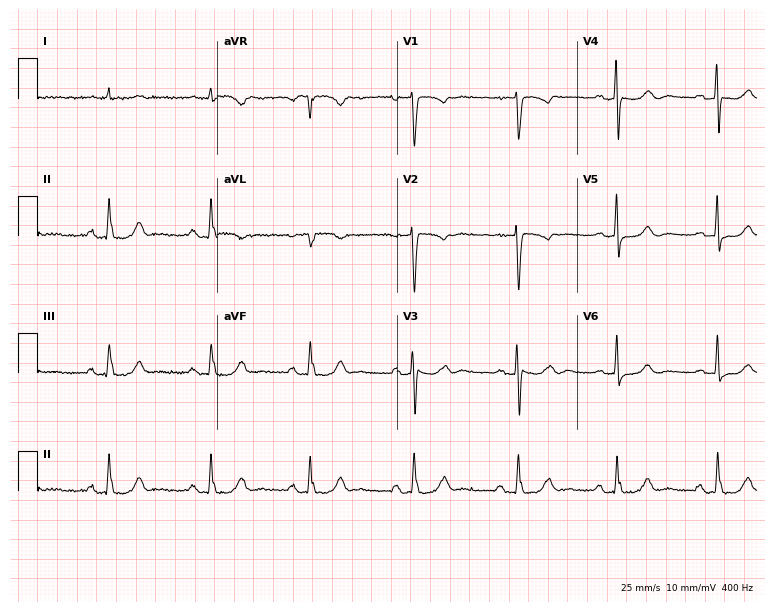
Standard 12-lead ECG recorded from a 77-year-old male patient (7.3-second recording at 400 Hz). None of these six findings is recorded: first-degree AV block, right bundle branch block, left bundle branch block, sinus bradycardia, atrial fibrillation, sinus tachycardia. Findings outside these six are not listed.